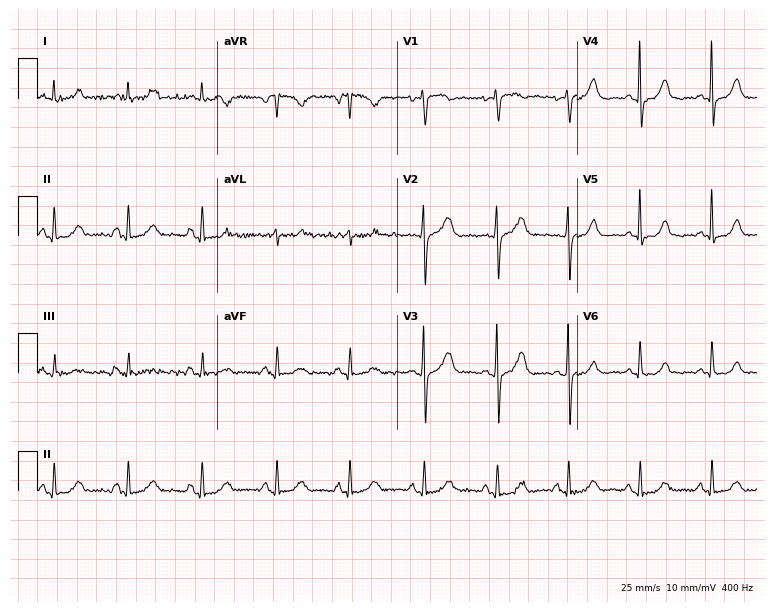
Resting 12-lead electrocardiogram. Patient: a woman, 54 years old. Read as a normal ECG.